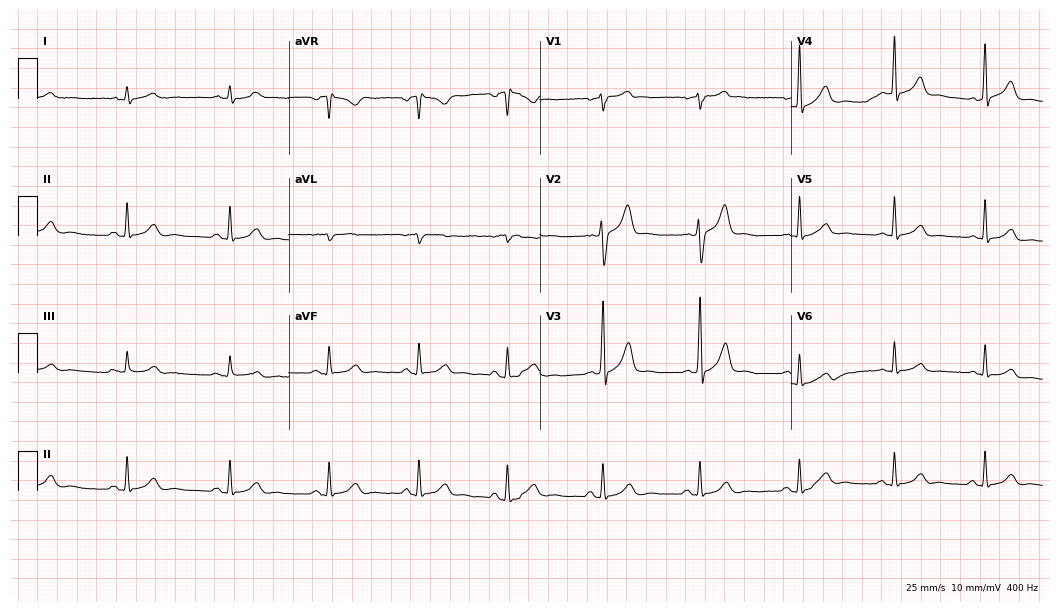
Standard 12-lead ECG recorded from a male patient, 45 years old. Read as a normal ECG.